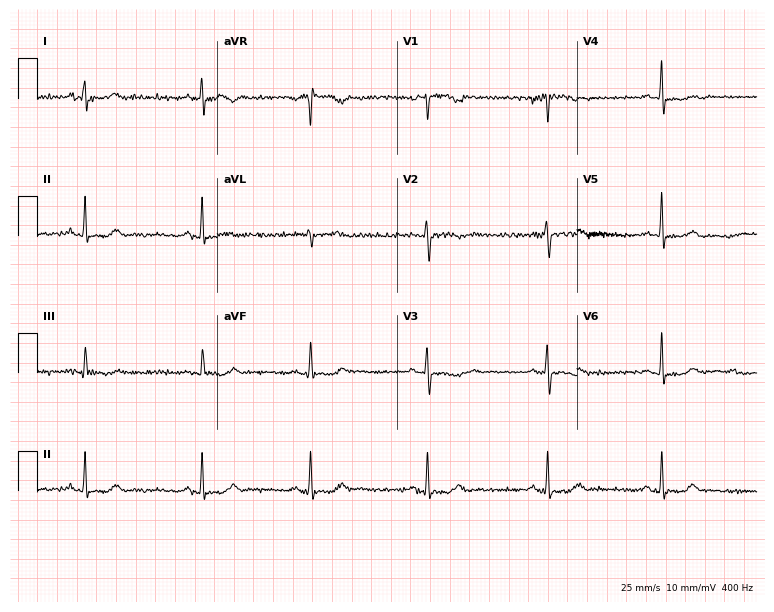
Electrocardiogram (7.3-second recording at 400 Hz), a female patient, 34 years old. Of the six screened findings (first-degree AV block, right bundle branch block (RBBB), left bundle branch block (LBBB), sinus bradycardia, atrial fibrillation (AF), sinus tachycardia), none is recorded.